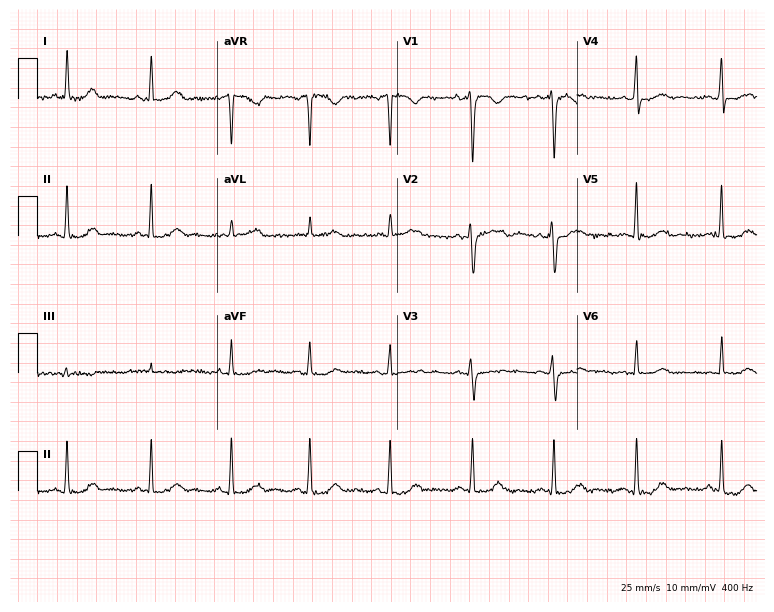
Standard 12-lead ECG recorded from a woman, 34 years old. Read as a normal ECG.